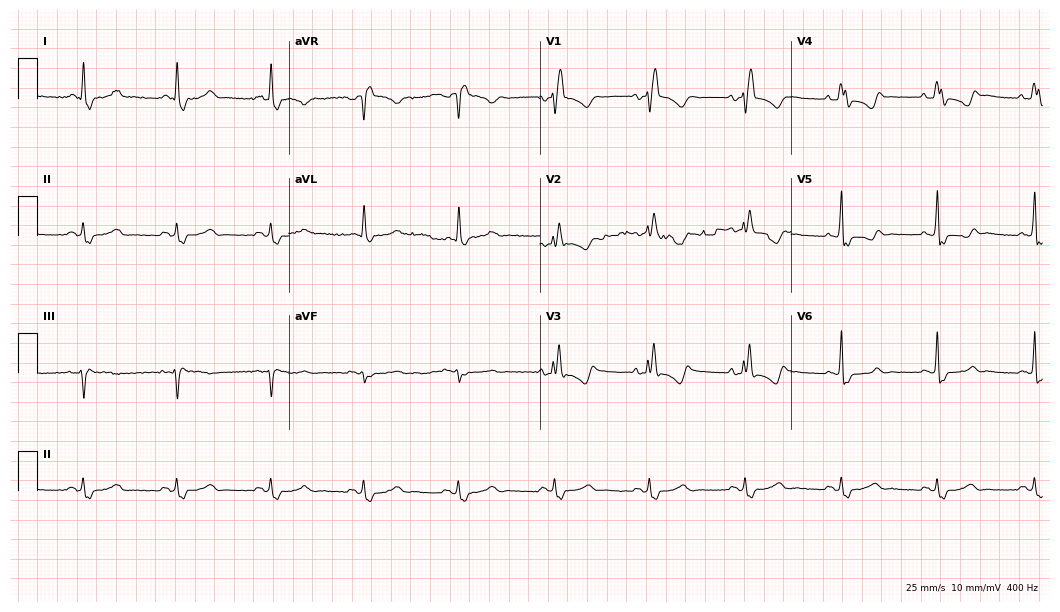
ECG (10.2-second recording at 400 Hz) — a woman, 74 years old. Findings include right bundle branch block.